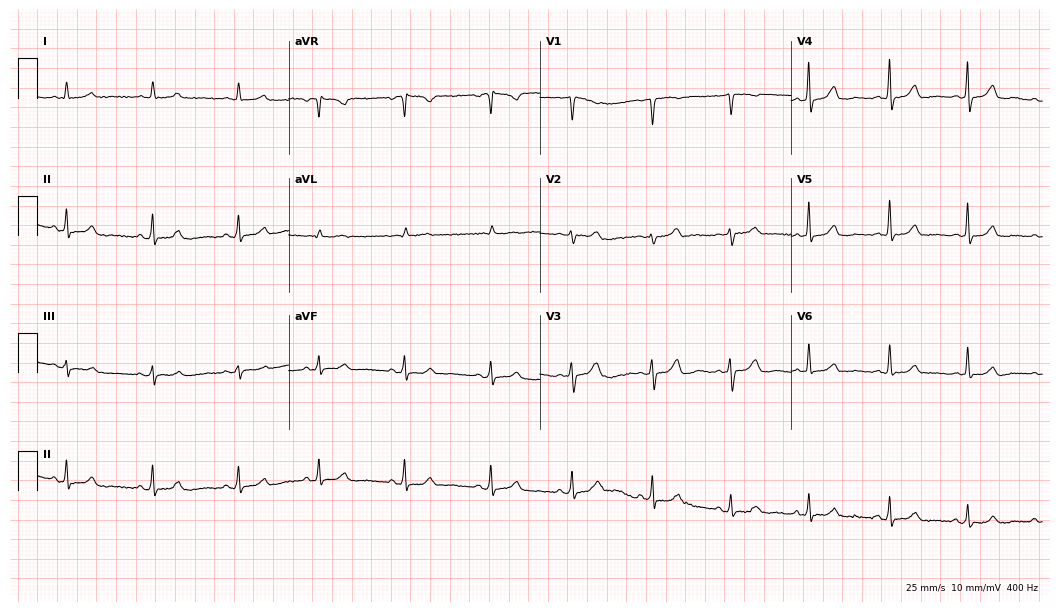
Resting 12-lead electrocardiogram (10.2-second recording at 400 Hz). Patient: a female, 65 years old. None of these six findings is recorded: first-degree AV block, right bundle branch block, left bundle branch block, sinus bradycardia, atrial fibrillation, sinus tachycardia. Other findings, if any, are not listed.